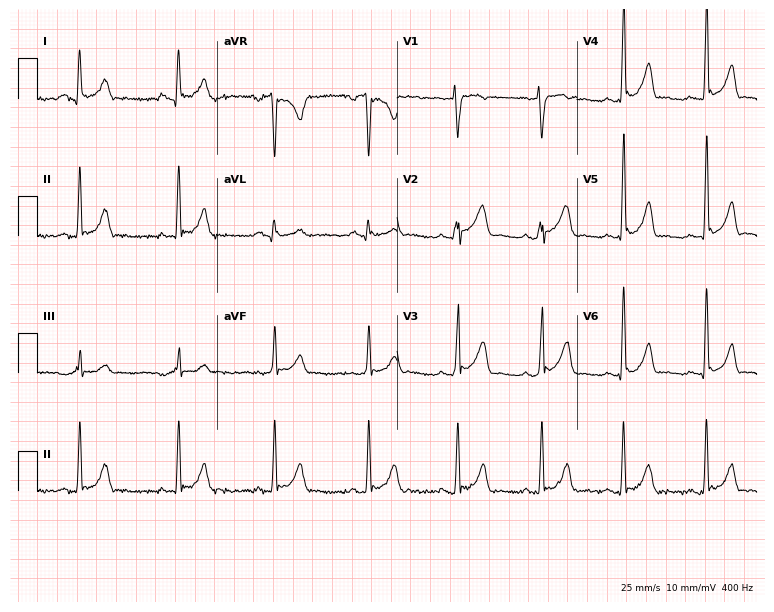
12-lead ECG from a man, 20 years old. Screened for six findings — first-degree AV block, right bundle branch block, left bundle branch block, sinus bradycardia, atrial fibrillation, sinus tachycardia — none is recorded.